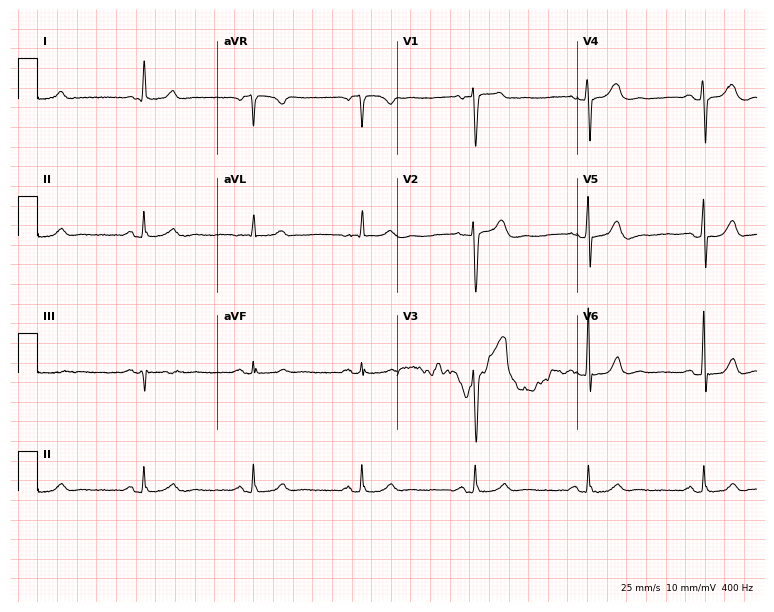
Resting 12-lead electrocardiogram. Patient: a 53-year-old man. Read as a normal ECG.